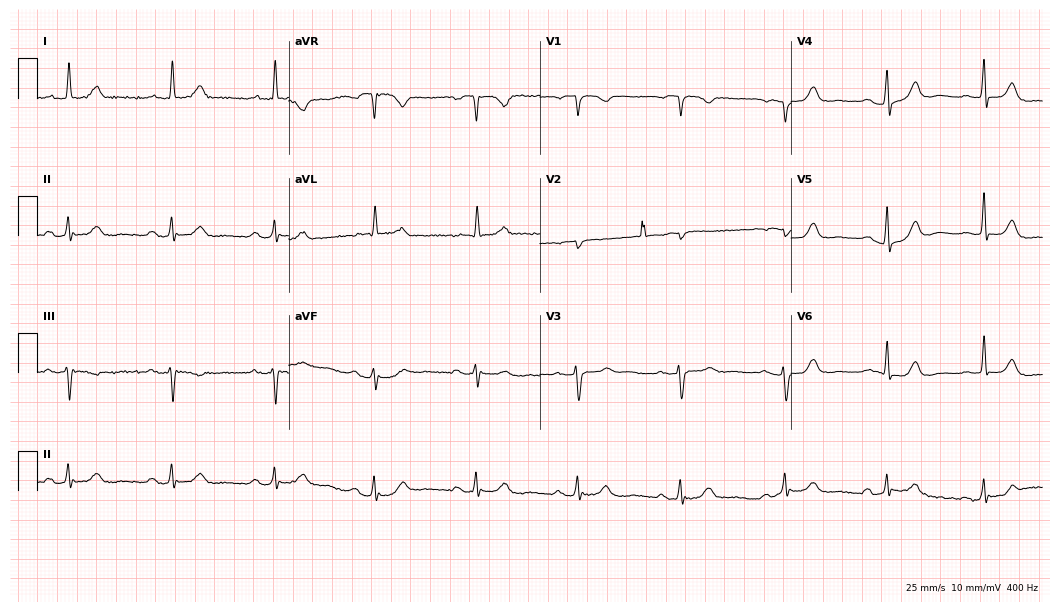
12-lead ECG from a female patient, 67 years old. Labelled as a normal ECG.